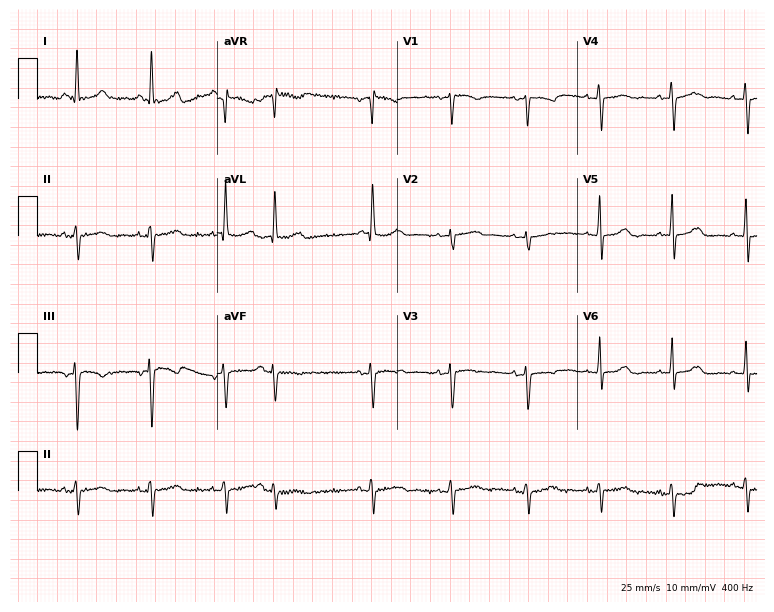
12-lead ECG from a 75-year-old female patient (7.3-second recording at 400 Hz). Recorded interpretation: within normal limits.